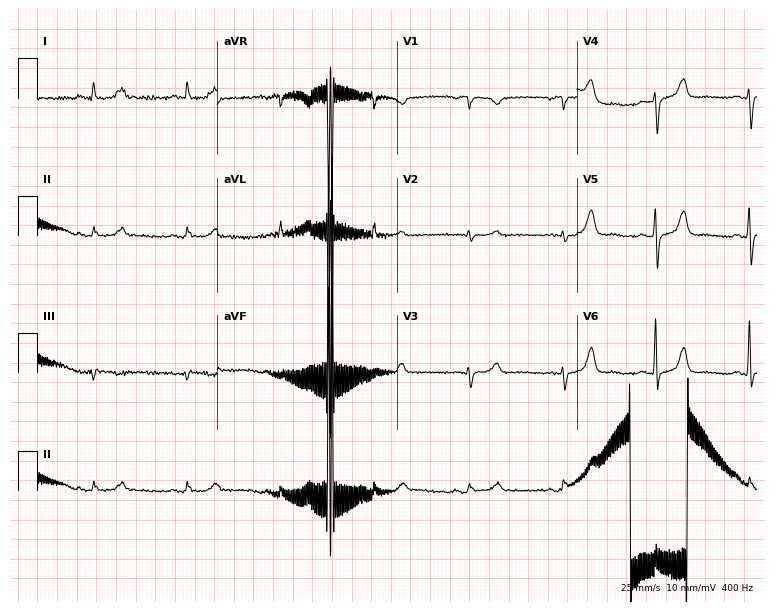
12-lead ECG from a 67-year-old female (7.3-second recording at 400 Hz). Recorded interpretation: within normal limits.